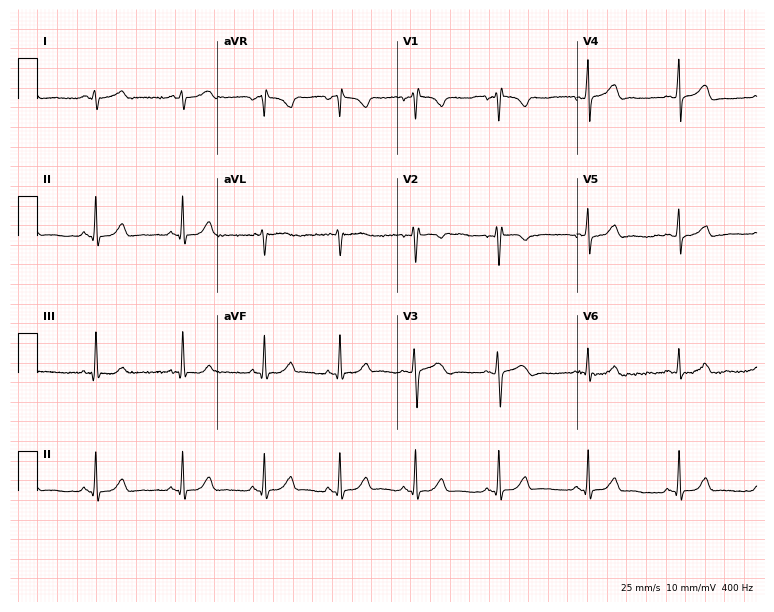
Electrocardiogram (7.3-second recording at 400 Hz), a 23-year-old woman. Overall reading on record: normal ECG.